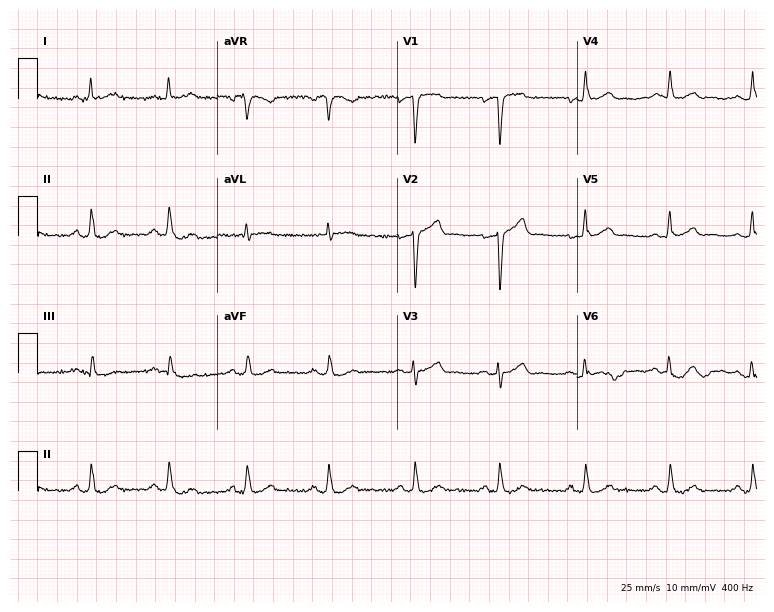
12-lead ECG from a male patient, 55 years old. Recorded interpretation: within normal limits.